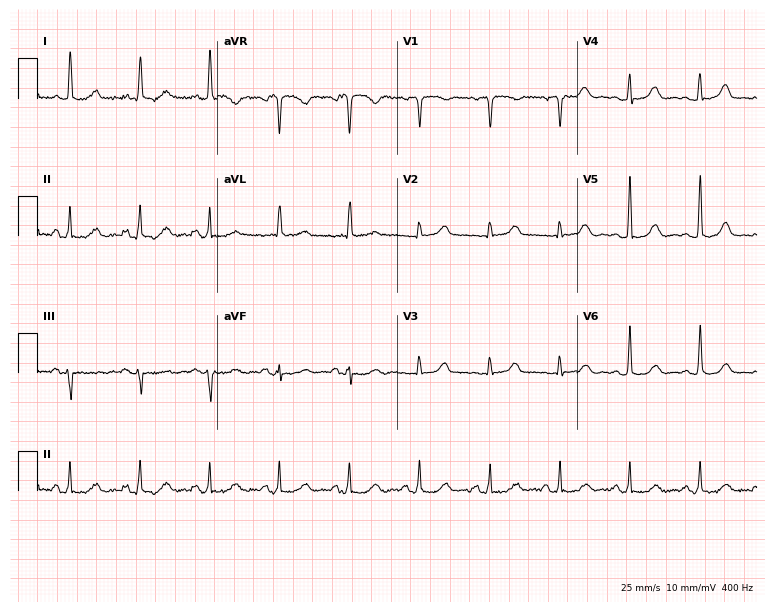
12-lead ECG from an 84-year-old female. Recorded interpretation: within normal limits.